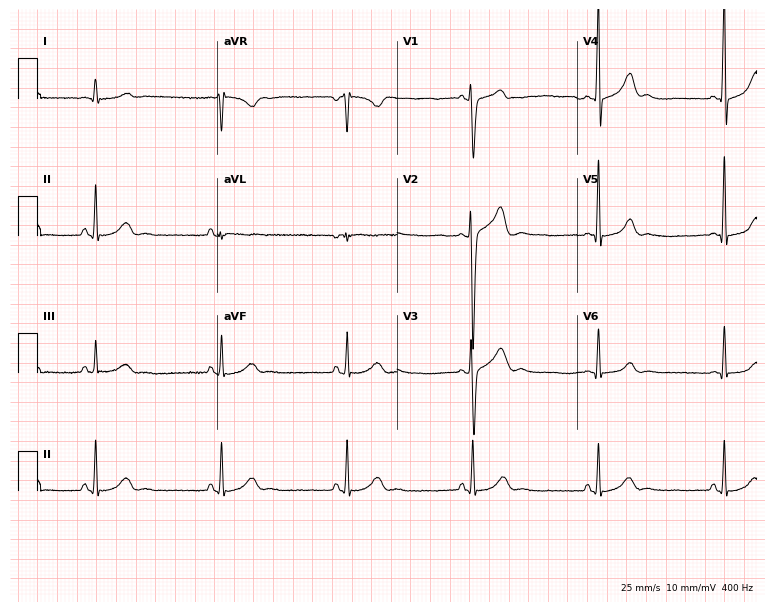
ECG — a 37-year-old male. Labelled as a normal ECG.